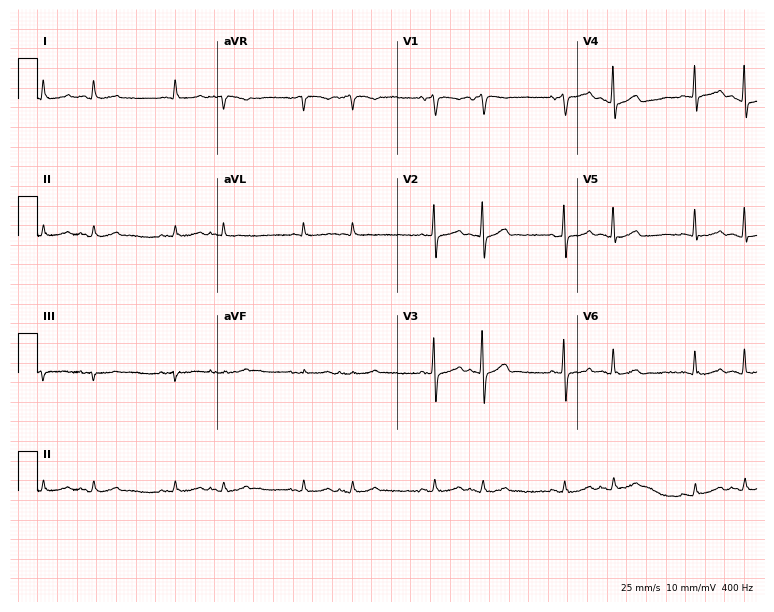
Resting 12-lead electrocardiogram (7.3-second recording at 400 Hz). Patient: an 81-year-old female. None of these six findings is recorded: first-degree AV block, right bundle branch block, left bundle branch block, sinus bradycardia, atrial fibrillation, sinus tachycardia. Other findings, if any, are not listed.